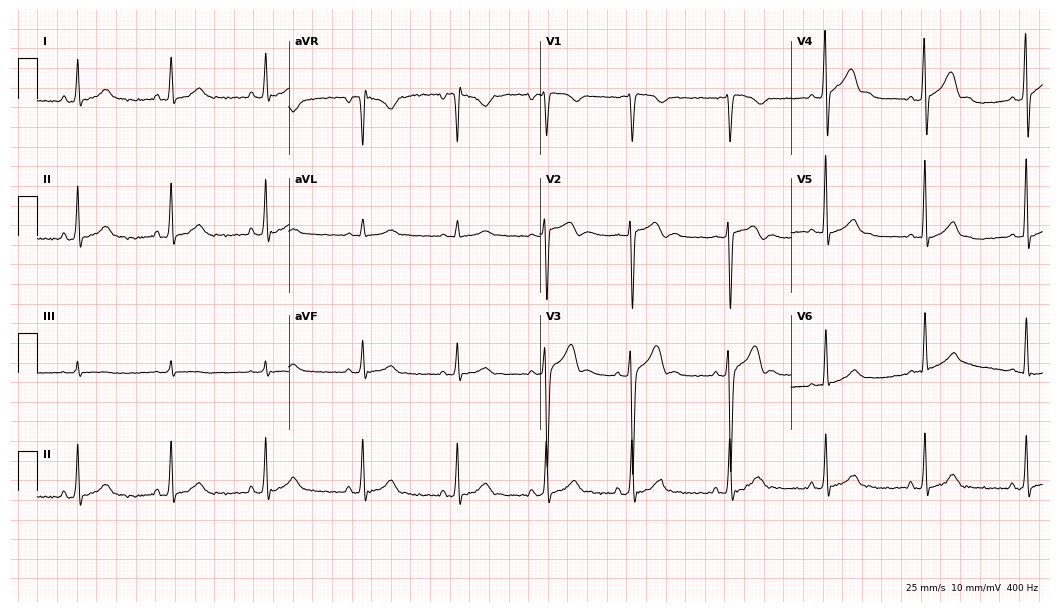
Resting 12-lead electrocardiogram (10.2-second recording at 400 Hz). Patient: a man, 27 years old. Read as a normal ECG.